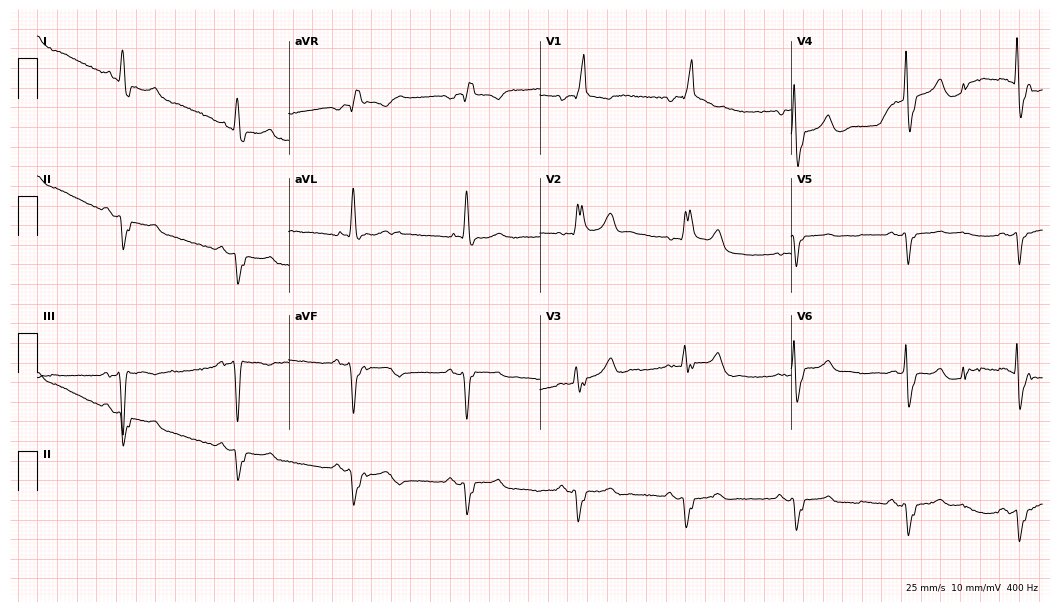
Resting 12-lead electrocardiogram. Patient: a 78-year-old man. None of these six findings is recorded: first-degree AV block, right bundle branch block, left bundle branch block, sinus bradycardia, atrial fibrillation, sinus tachycardia. Findings outside these six are not listed.